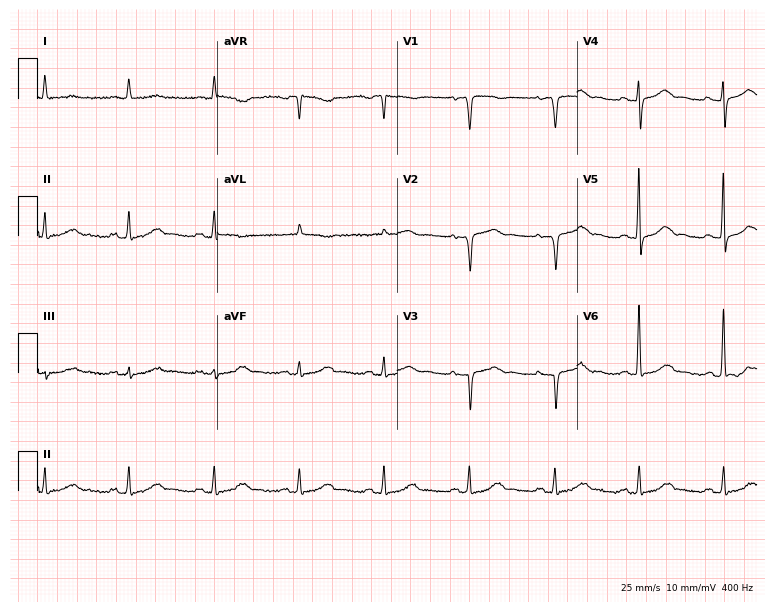
12-lead ECG (7.3-second recording at 400 Hz) from an 80-year-old woman. Screened for six findings — first-degree AV block, right bundle branch block, left bundle branch block, sinus bradycardia, atrial fibrillation, sinus tachycardia — none is recorded.